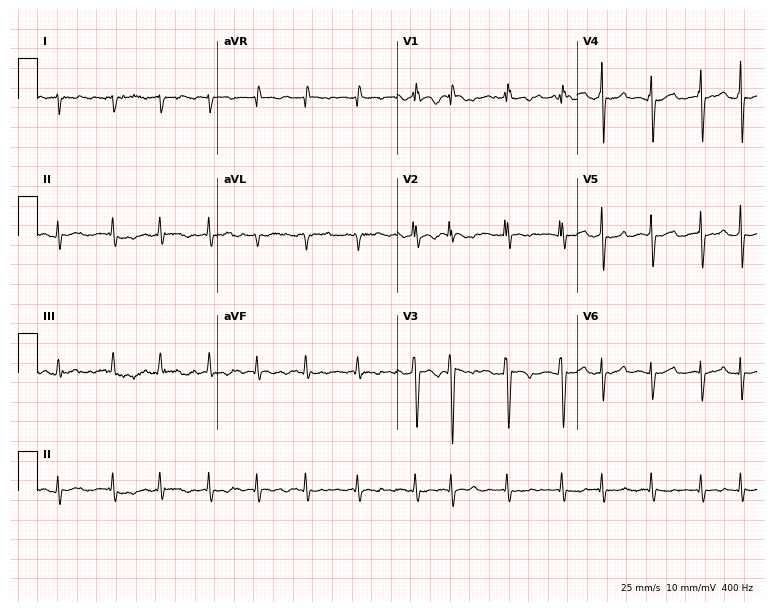
Electrocardiogram, a female, 39 years old. Interpretation includes atrial fibrillation.